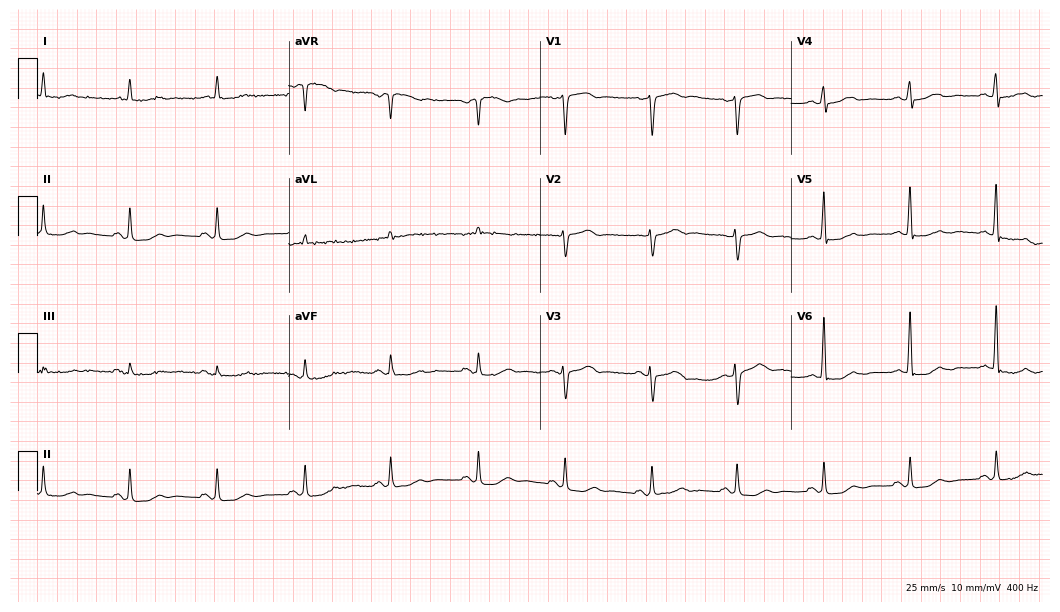
12-lead ECG from a 76-year-old male patient (10.2-second recording at 400 Hz). Recorded interpretation: within normal limits.